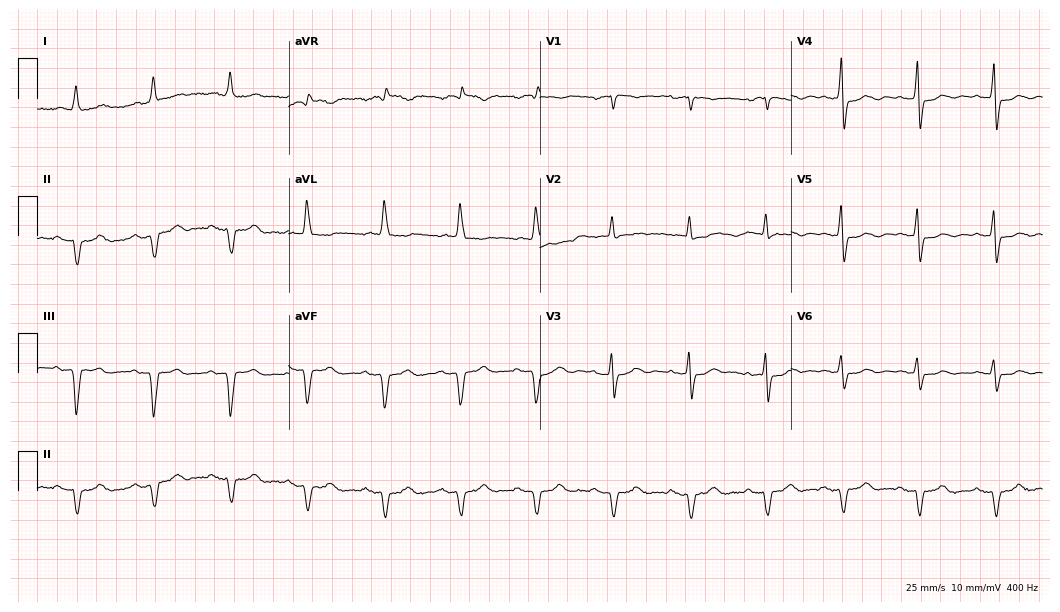
Electrocardiogram, a 77-year-old male. Of the six screened findings (first-degree AV block, right bundle branch block, left bundle branch block, sinus bradycardia, atrial fibrillation, sinus tachycardia), none is recorded. Only these six findings were labelled.